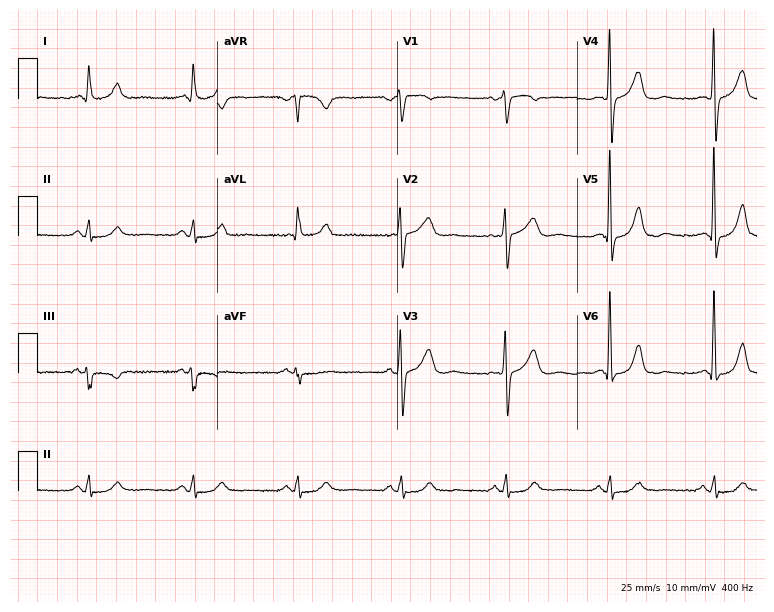
12-lead ECG (7.3-second recording at 400 Hz) from a man, 58 years old. Screened for six findings — first-degree AV block, right bundle branch block, left bundle branch block, sinus bradycardia, atrial fibrillation, sinus tachycardia — none is recorded.